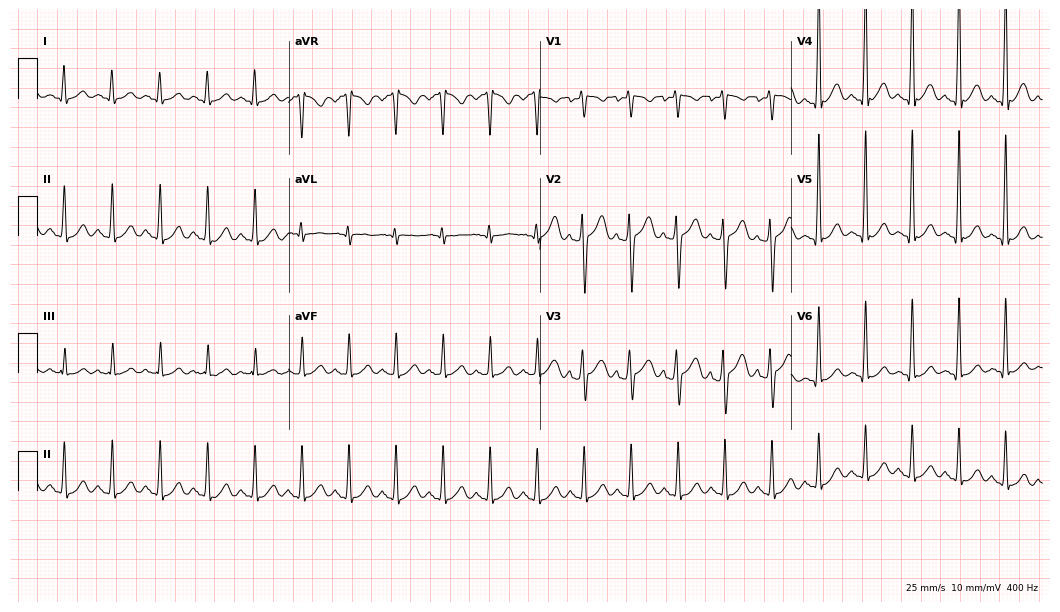
Standard 12-lead ECG recorded from a 23-year-old woman. The tracing shows sinus tachycardia (a sinus rate of 100 beats per minute or more).